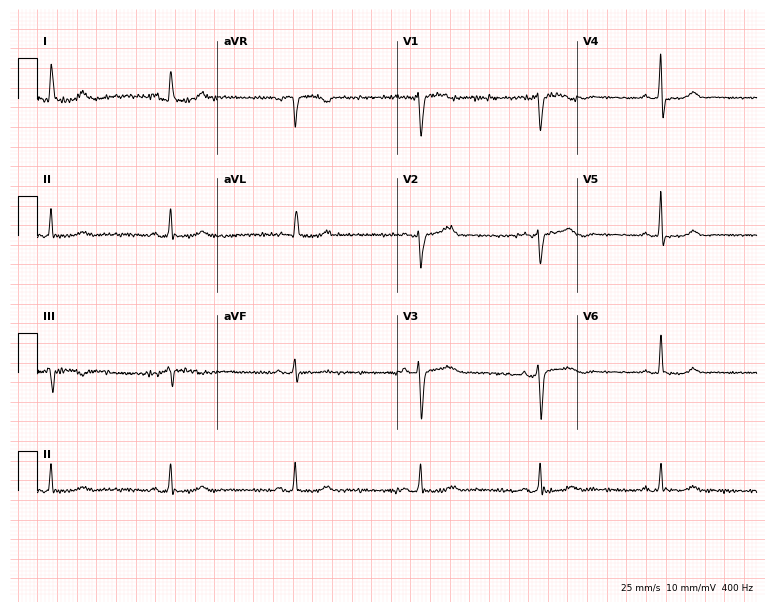
Resting 12-lead electrocardiogram. Patient: a 64-year-old woman. The tracing shows sinus bradycardia (a sinus rate of 50 beats per minute or less).